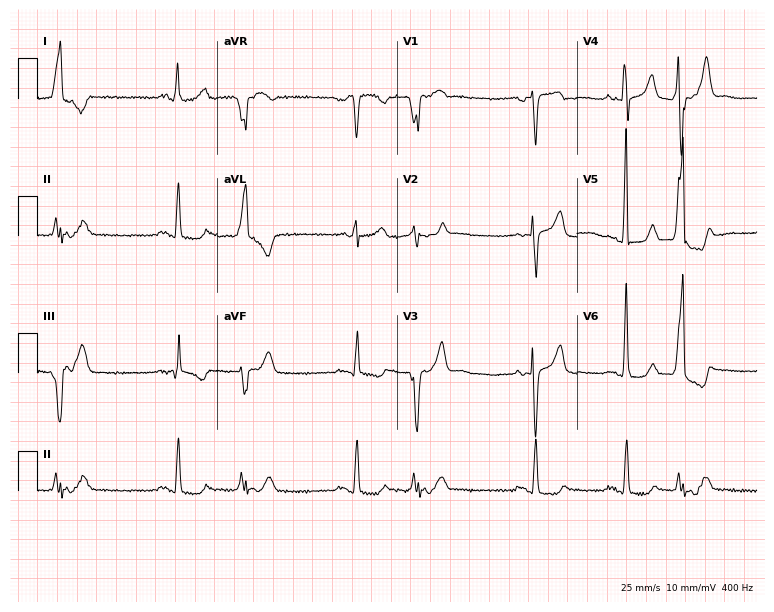
12-lead ECG (7.3-second recording at 400 Hz) from a female, 70 years old. Screened for six findings — first-degree AV block, right bundle branch block (RBBB), left bundle branch block (LBBB), sinus bradycardia, atrial fibrillation (AF), sinus tachycardia — none is recorded. Only these six findings were labelled.